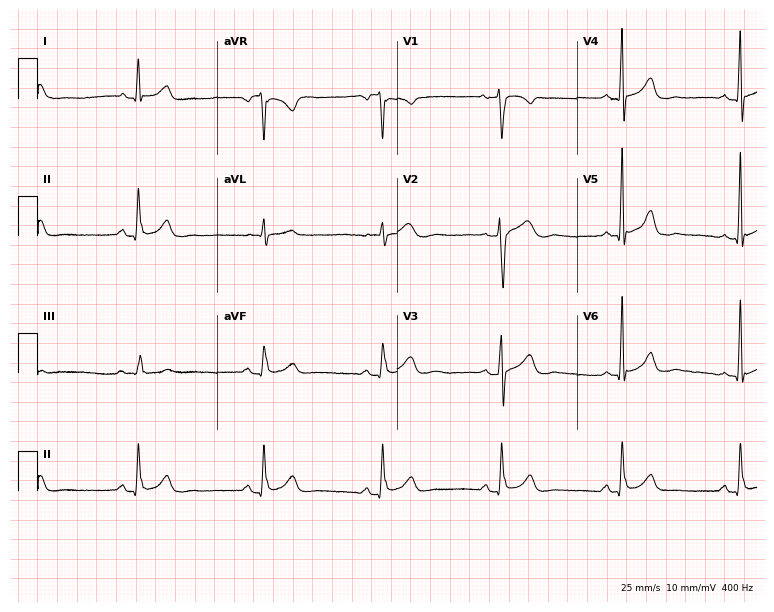
ECG (7.3-second recording at 400 Hz) — a 65-year-old male. Screened for six findings — first-degree AV block, right bundle branch block, left bundle branch block, sinus bradycardia, atrial fibrillation, sinus tachycardia — none is recorded.